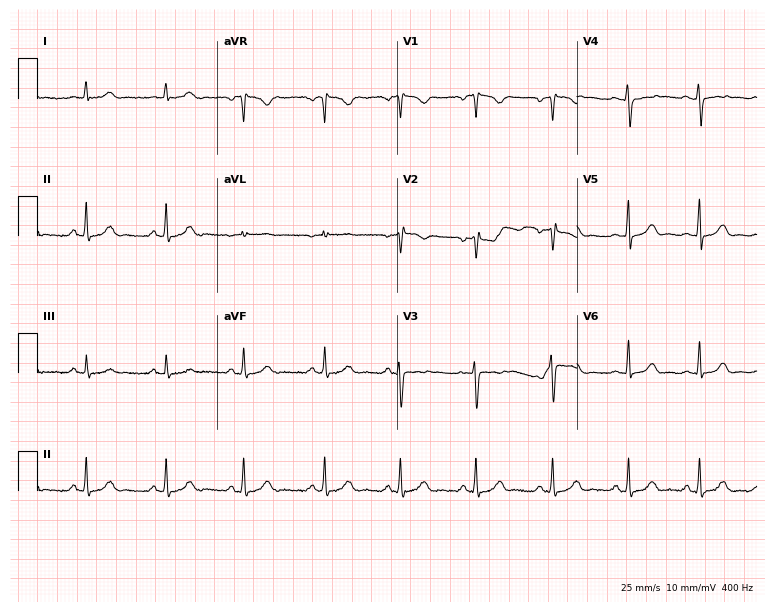
Electrocardiogram, a woman, 30 years old. Of the six screened findings (first-degree AV block, right bundle branch block, left bundle branch block, sinus bradycardia, atrial fibrillation, sinus tachycardia), none is recorded. Only these six findings were labelled.